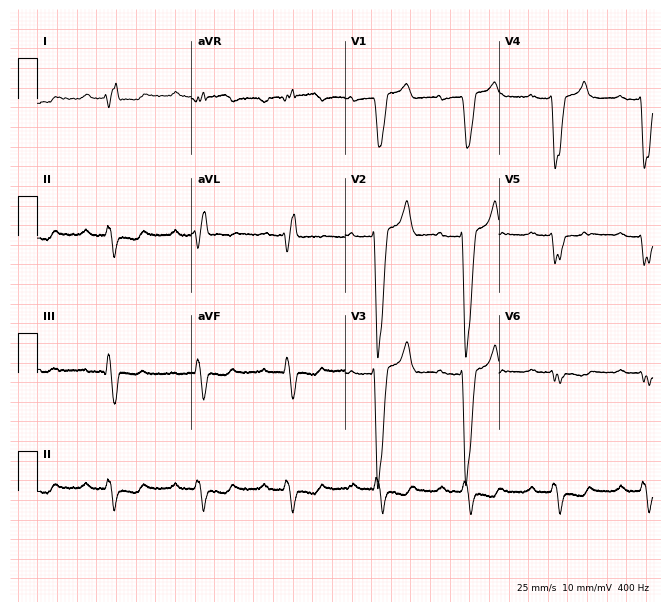
Electrocardiogram, a male patient, 70 years old. Of the six screened findings (first-degree AV block, right bundle branch block, left bundle branch block, sinus bradycardia, atrial fibrillation, sinus tachycardia), none is recorded. Only these six findings were labelled.